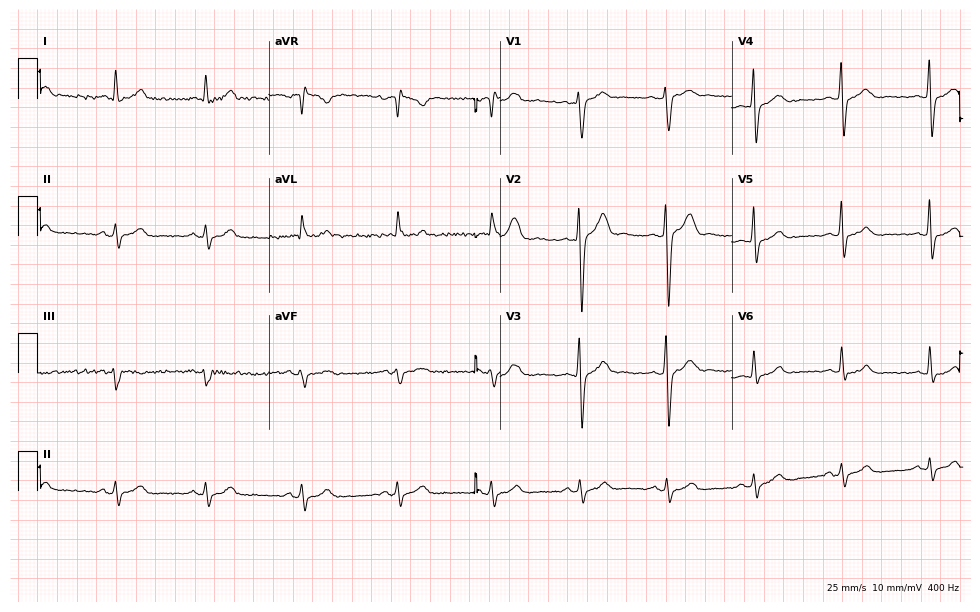
Electrocardiogram (9.4-second recording at 400 Hz), a male, 41 years old. Of the six screened findings (first-degree AV block, right bundle branch block (RBBB), left bundle branch block (LBBB), sinus bradycardia, atrial fibrillation (AF), sinus tachycardia), none is recorded. Findings outside these six are not listed.